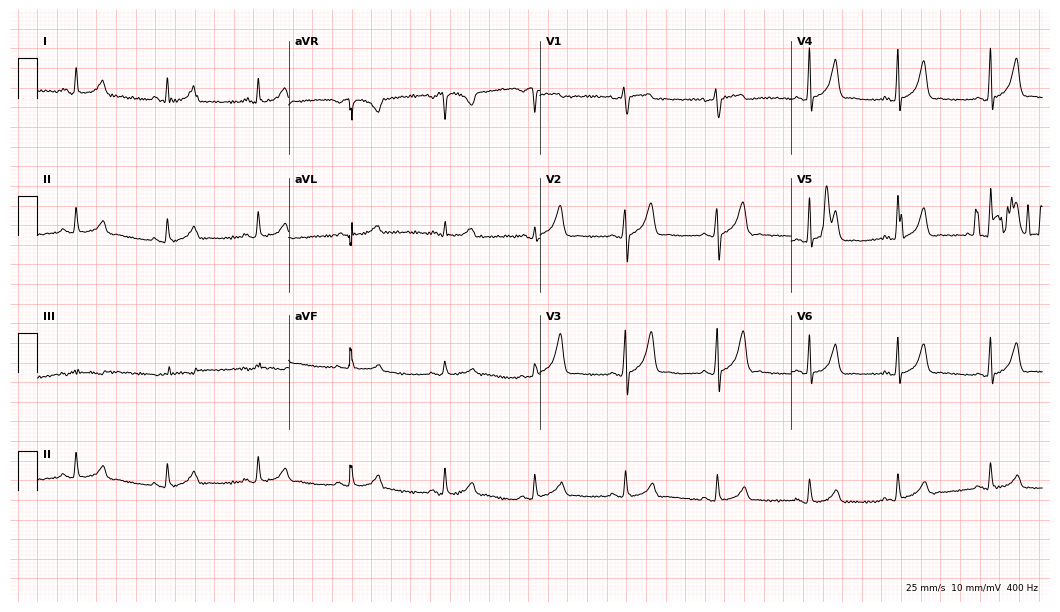
12-lead ECG from a 47-year-old female patient. No first-degree AV block, right bundle branch block, left bundle branch block, sinus bradycardia, atrial fibrillation or sinus tachycardia recorded for this tracing.